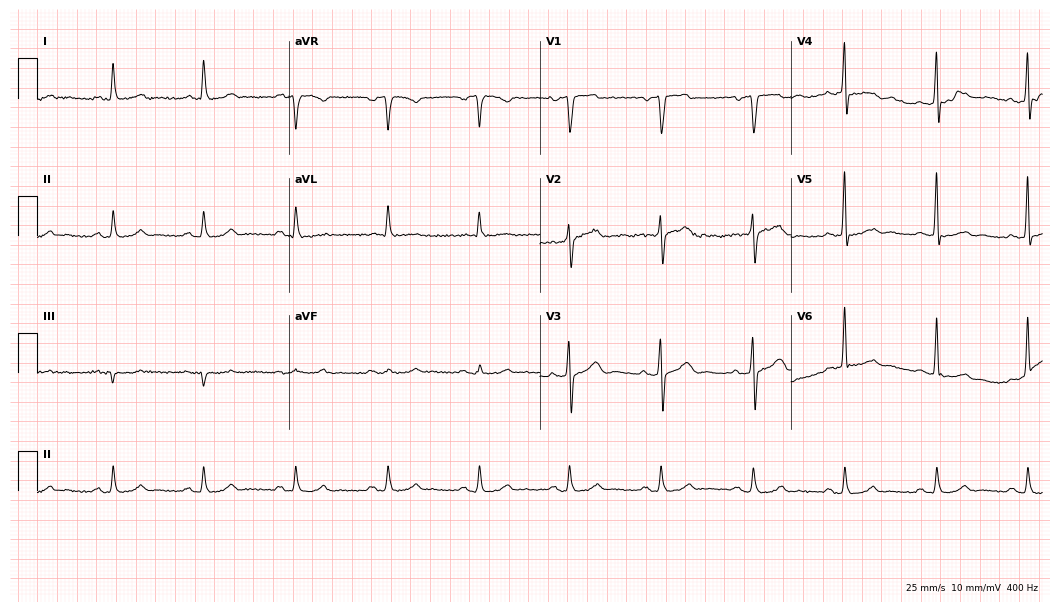
ECG (10.2-second recording at 400 Hz) — a 69-year-old man. Labelled as a normal ECG.